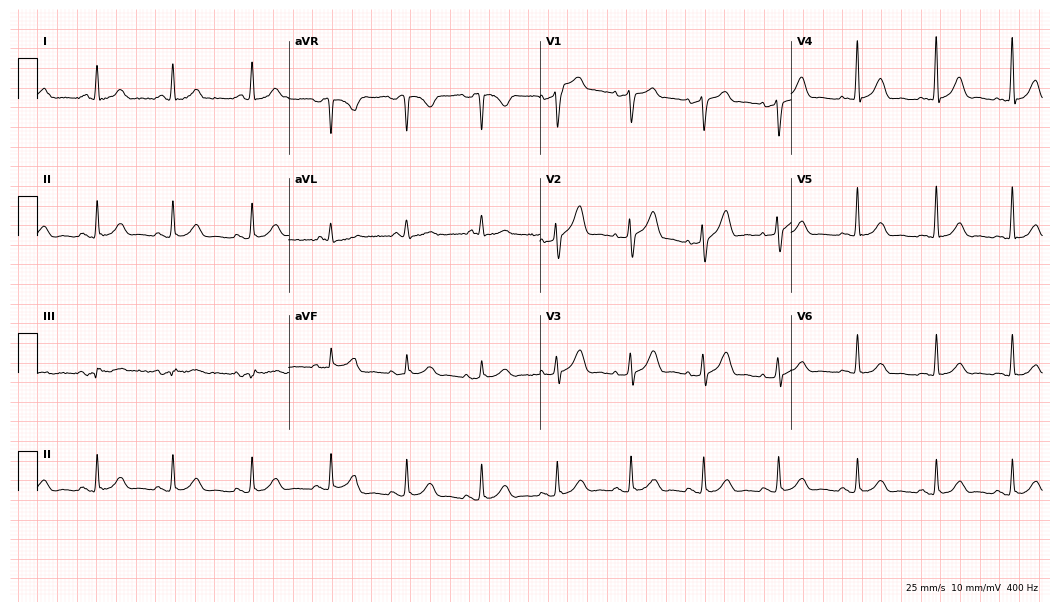
ECG (10.2-second recording at 400 Hz) — a male patient, 55 years old. Screened for six findings — first-degree AV block, right bundle branch block (RBBB), left bundle branch block (LBBB), sinus bradycardia, atrial fibrillation (AF), sinus tachycardia — none is recorded. Findings outside these six are not listed.